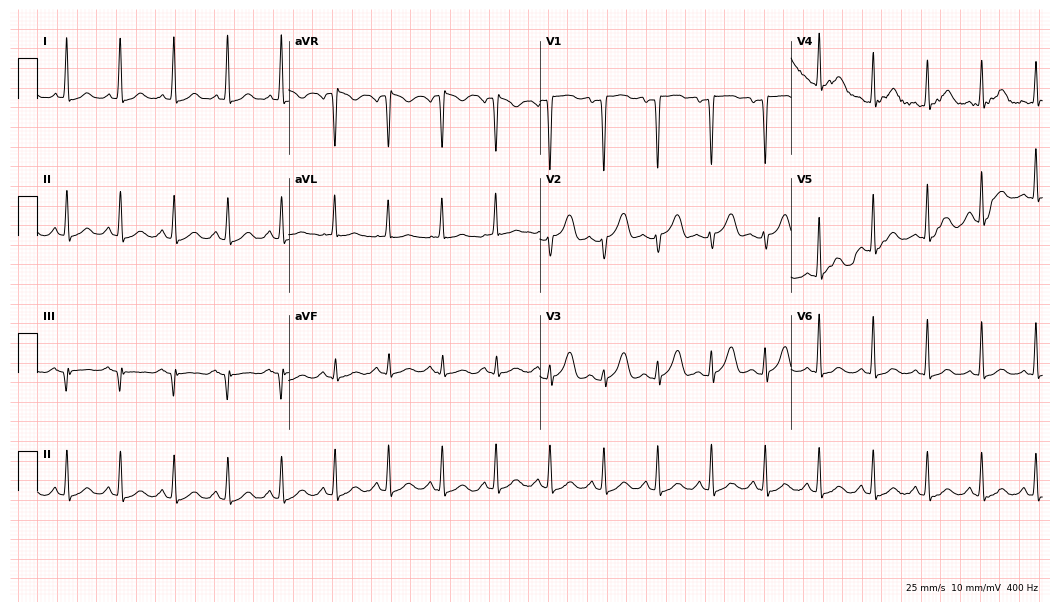
ECG (10.2-second recording at 400 Hz) — a 27-year-old female patient. Findings include sinus tachycardia (a sinus rate of 100 beats per minute or more).